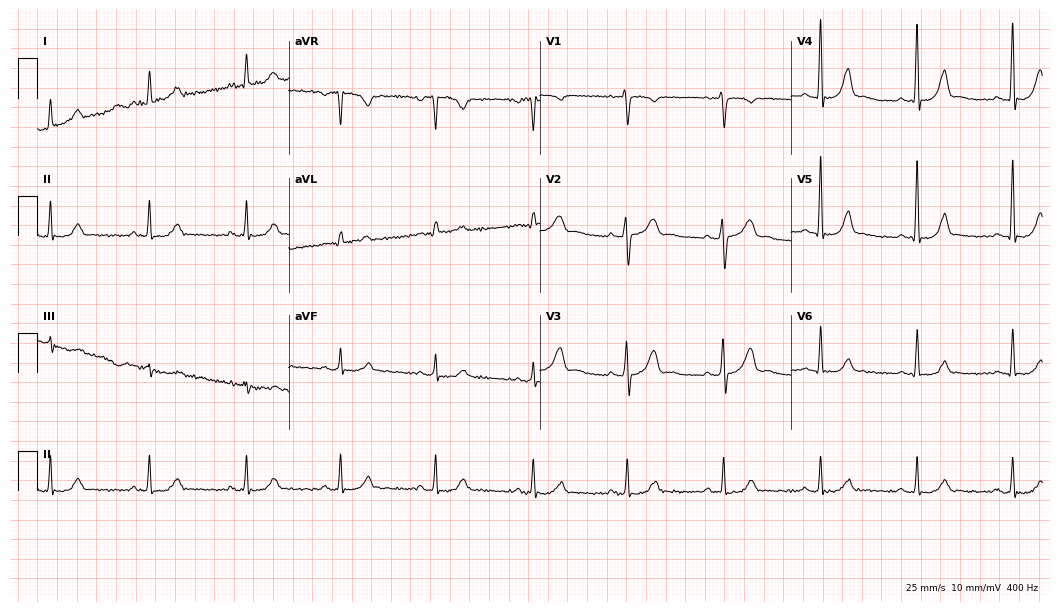
Electrocardiogram, a female patient, 48 years old. Of the six screened findings (first-degree AV block, right bundle branch block, left bundle branch block, sinus bradycardia, atrial fibrillation, sinus tachycardia), none is recorded.